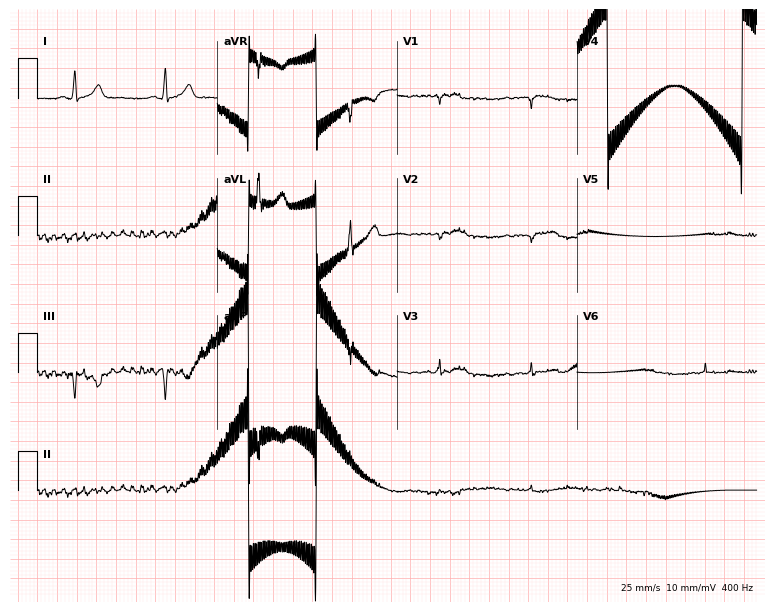
12-lead ECG from a man, 33 years old. Screened for six findings — first-degree AV block, right bundle branch block, left bundle branch block, sinus bradycardia, atrial fibrillation, sinus tachycardia — none is recorded. Findings outside these six are not listed.